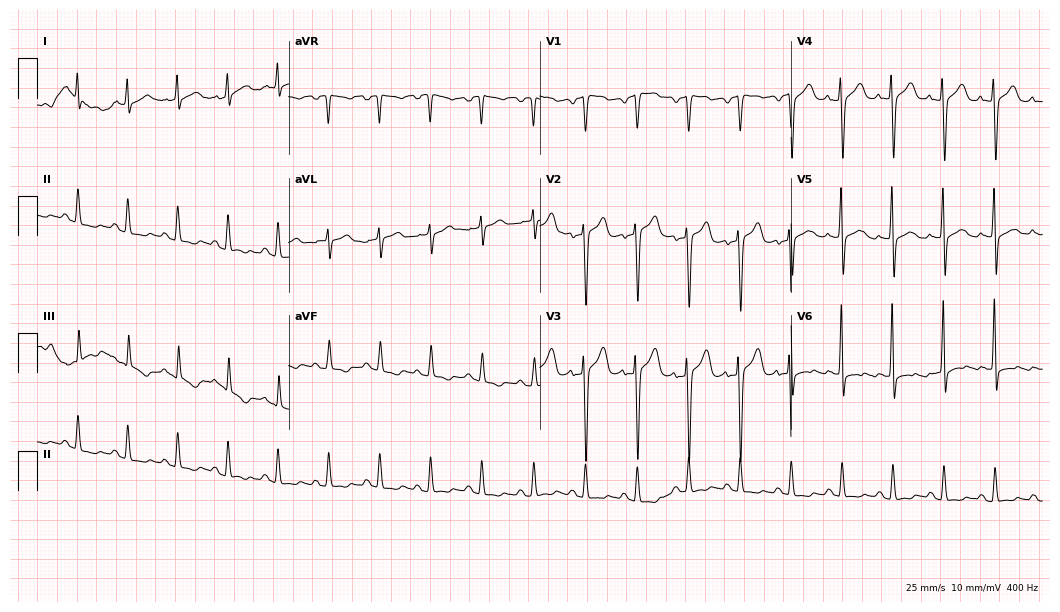
Resting 12-lead electrocardiogram (10.2-second recording at 400 Hz). Patient: a male, 61 years old. The tracing shows sinus tachycardia (a sinus rate of 100 beats per minute or more).